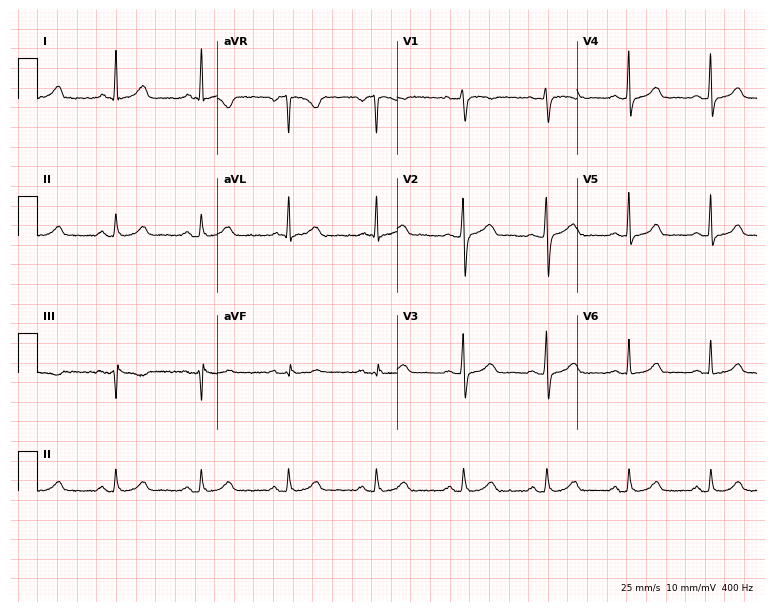
Standard 12-lead ECG recorded from a female patient, 49 years old (7.3-second recording at 400 Hz). Read as a normal ECG.